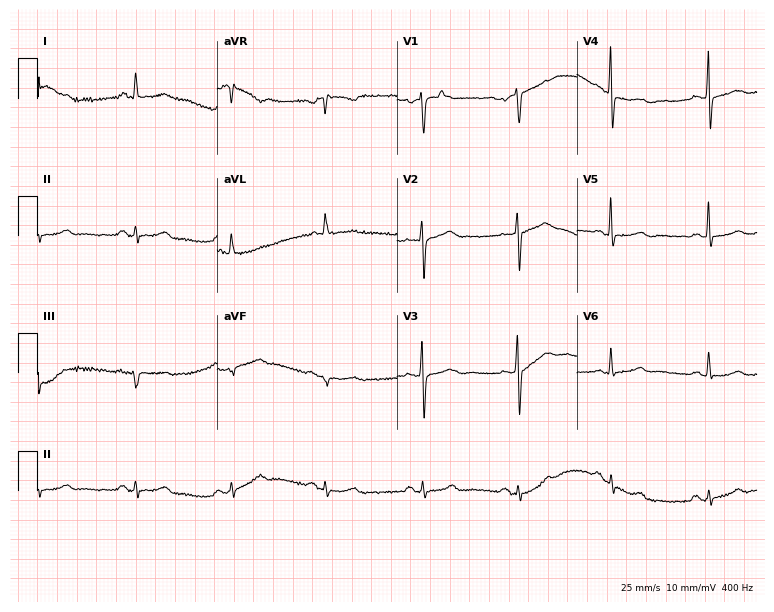
Standard 12-lead ECG recorded from a female, 75 years old. Read as a normal ECG.